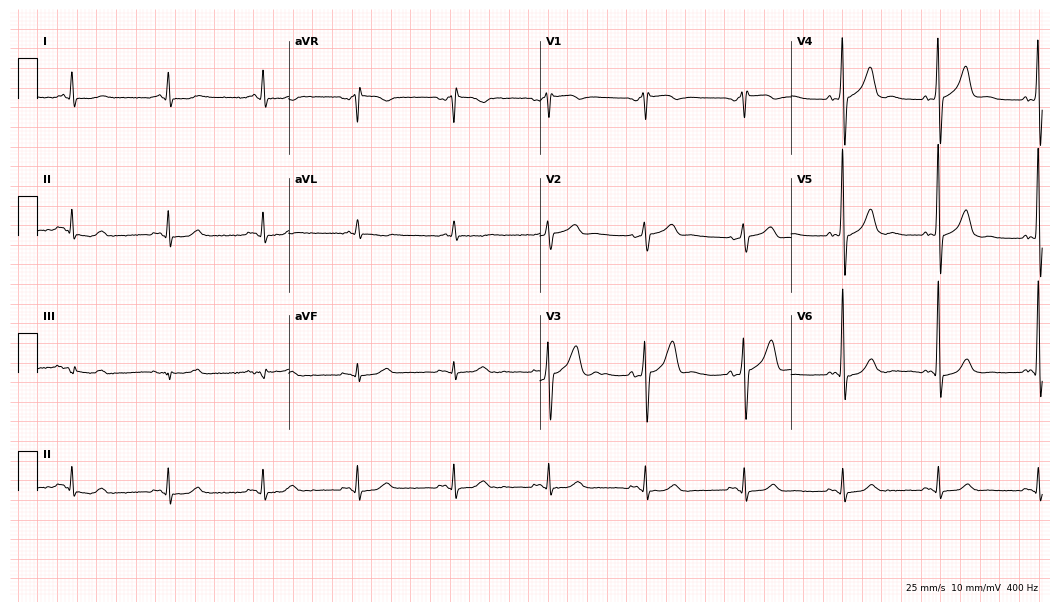
12-lead ECG from a male patient, 75 years old. Recorded interpretation: within normal limits.